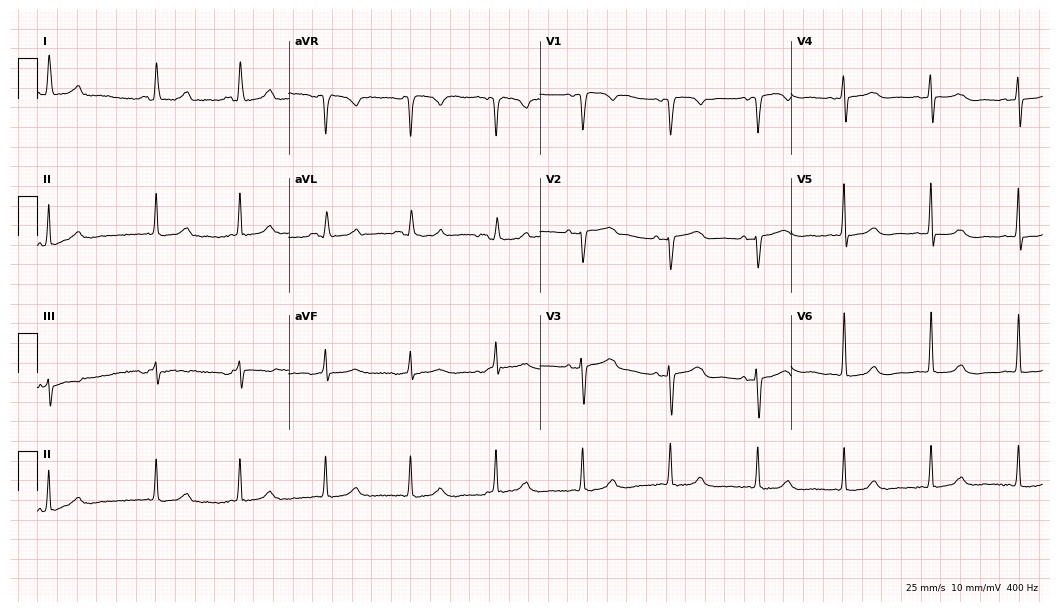
Standard 12-lead ECG recorded from a female patient, 79 years old (10.2-second recording at 400 Hz). None of these six findings is recorded: first-degree AV block, right bundle branch block (RBBB), left bundle branch block (LBBB), sinus bradycardia, atrial fibrillation (AF), sinus tachycardia. Other findings, if any, are not listed.